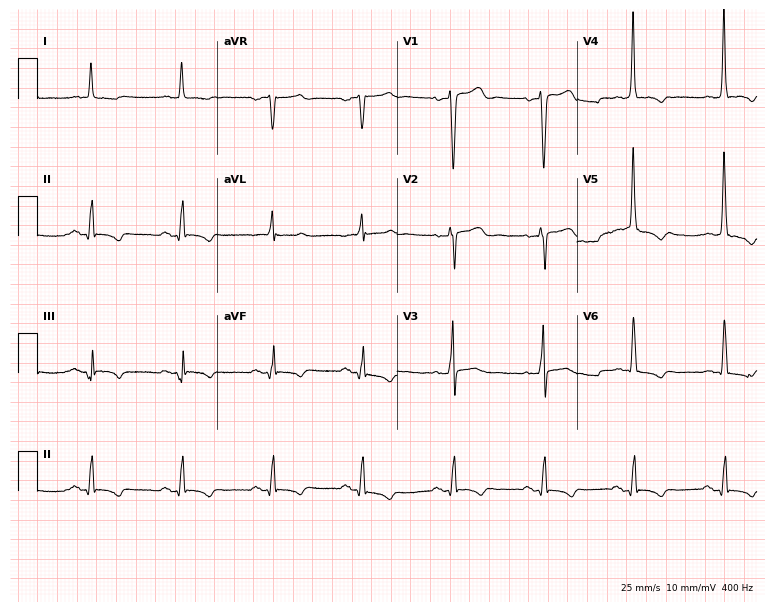
Resting 12-lead electrocardiogram. Patient: a man, 74 years old. None of these six findings is recorded: first-degree AV block, right bundle branch block, left bundle branch block, sinus bradycardia, atrial fibrillation, sinus tachycardia.